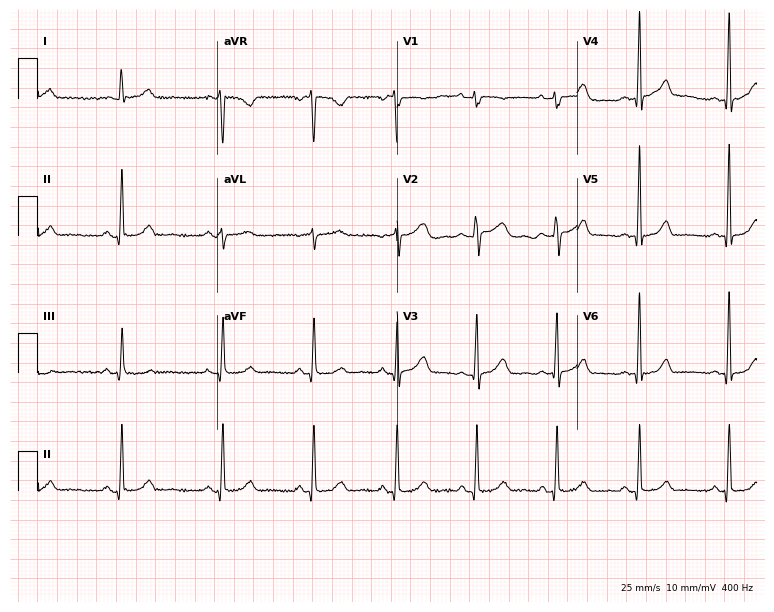
12-lead ECG (7.3-second recording at 400 Hz) from a 38-year-old female. Labelled as a normal ECG.